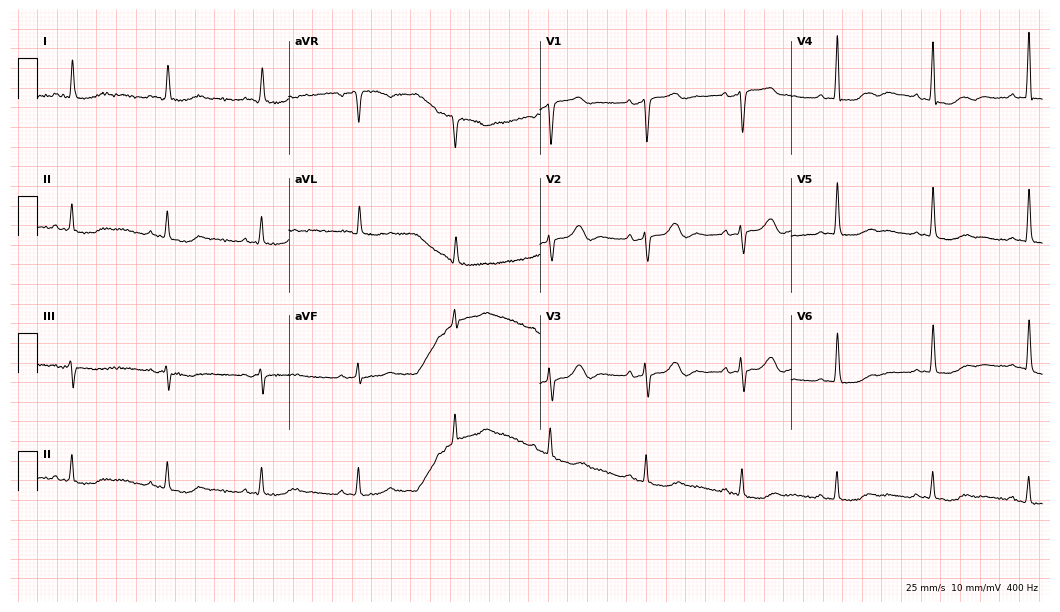
Standard 12-lead ECG recorded from a woman, 76 years old. None of these six findings is recorded: first-degree AV block, right bundle branch block (RBBB), left bundle branch block (LBBB), sinus bradycardia, atrial fibrillation (AF), sinus tachycardia. Only these six findings were labelled.